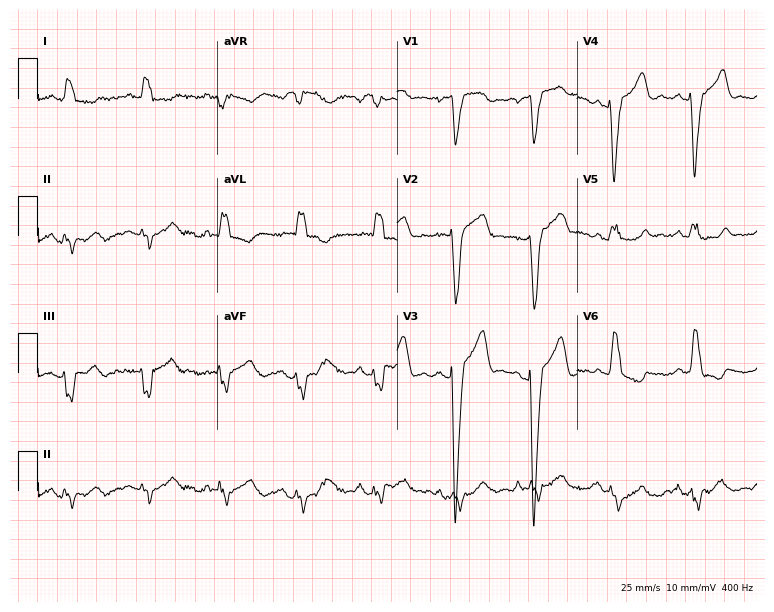
12-lead ECG from a female patient, 64 years old. Shows left bundle branch block.